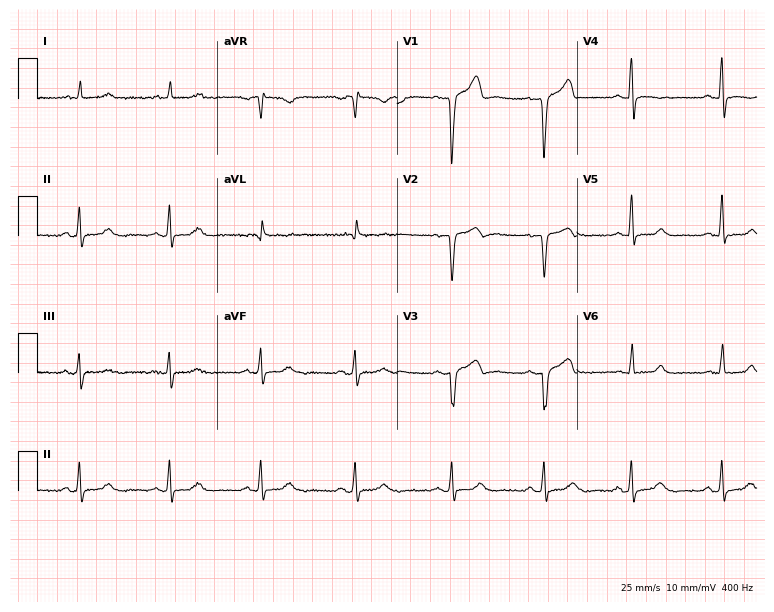
Standard 12-lead ECG recorded from a 57-year-old male patient (7.3-second recording at 400 Hz). None of these six findings is recorded: first-degree AV block, right bundle branch block, left bundle branch block, sinus bradycardia, atrial fibrillation, sinus tachycardia.